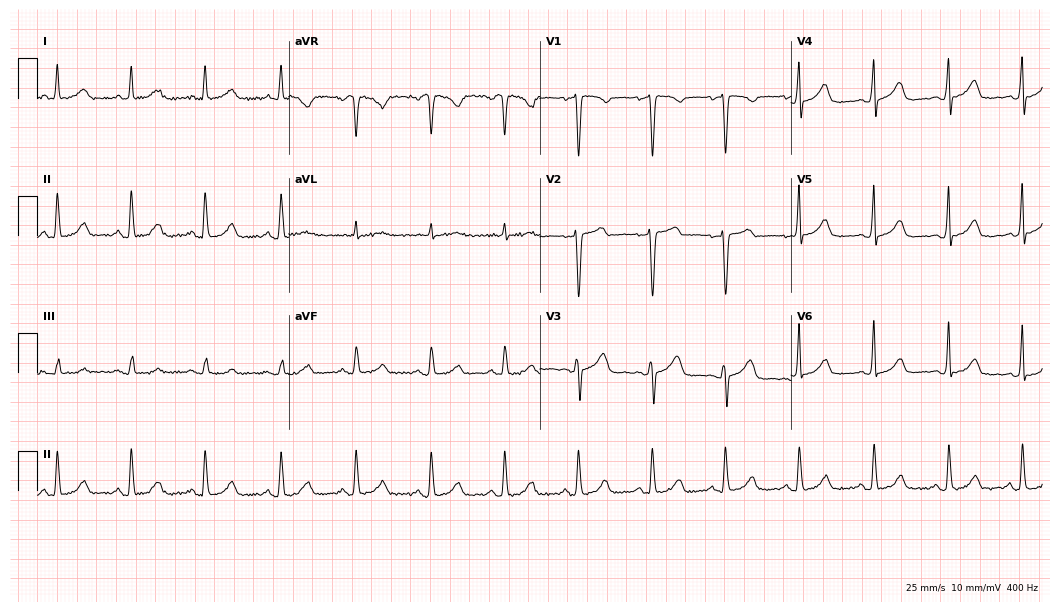
Standard 12-lead ECG recorded from a woman, 54 years old (10.2-second recording at 400 Hz). None of these six findings is recorded: first-degree AV block, right bundle branch block, left bundle branch block, sinus bradycardia, atrial fibrillation, sinus tachycardia. Findings outside these six are not listed.